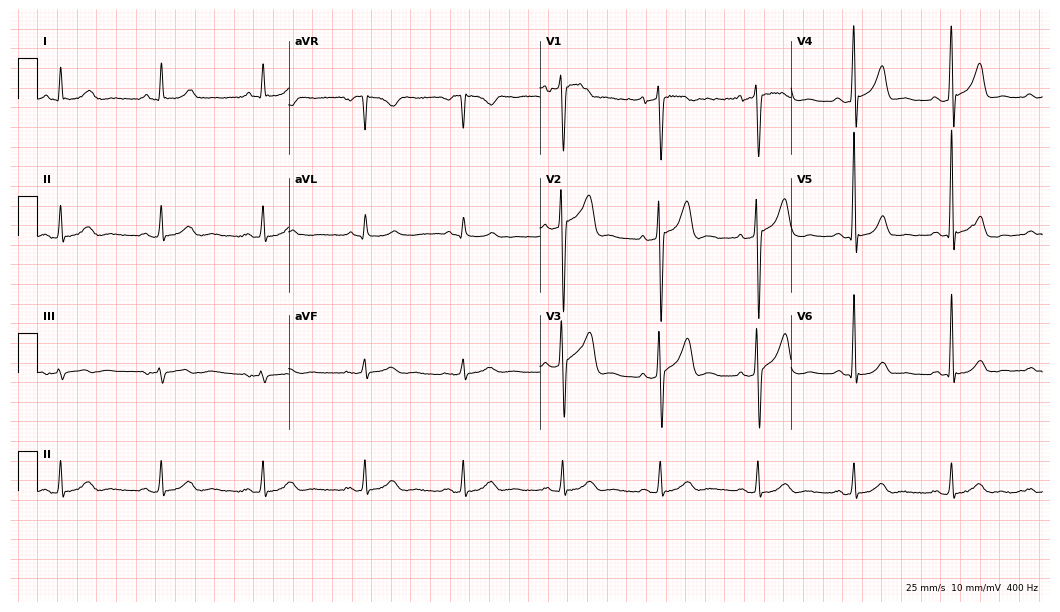
12-lead ECG from a 57-year-old male. Labelled as a normal ECG.